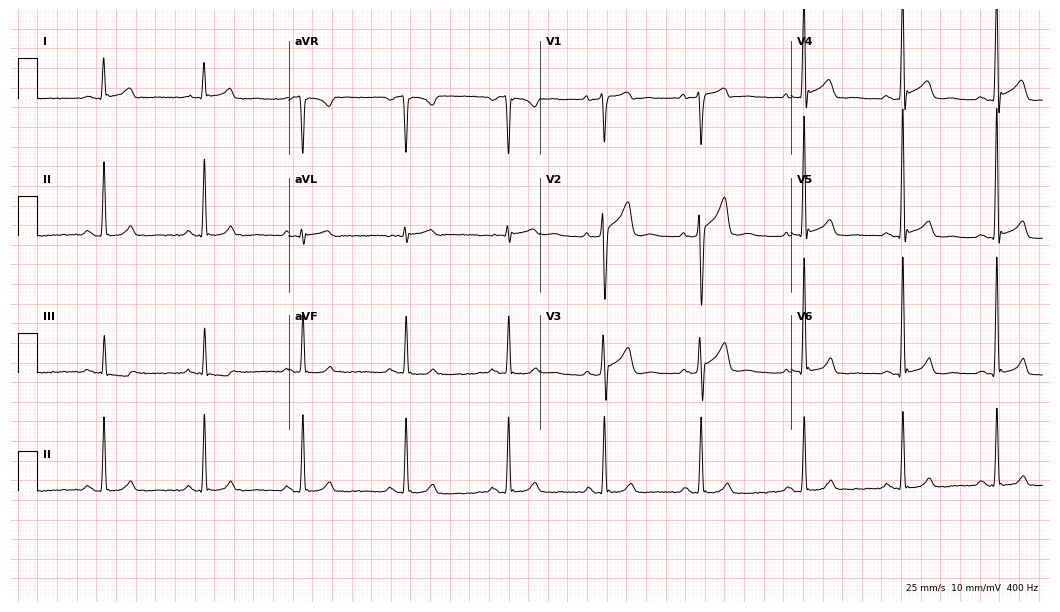
Electrocardiogram (10.2-second recording at 400 Hz), a male patient, 34 years old. Of the six screened findings (first-degree AV block, right bundle branch block (RBBB), left bundle branch block (LBBB), sinus bradycardia, atrial fibrillation (AF), sinus tachycardia), none is recorded.